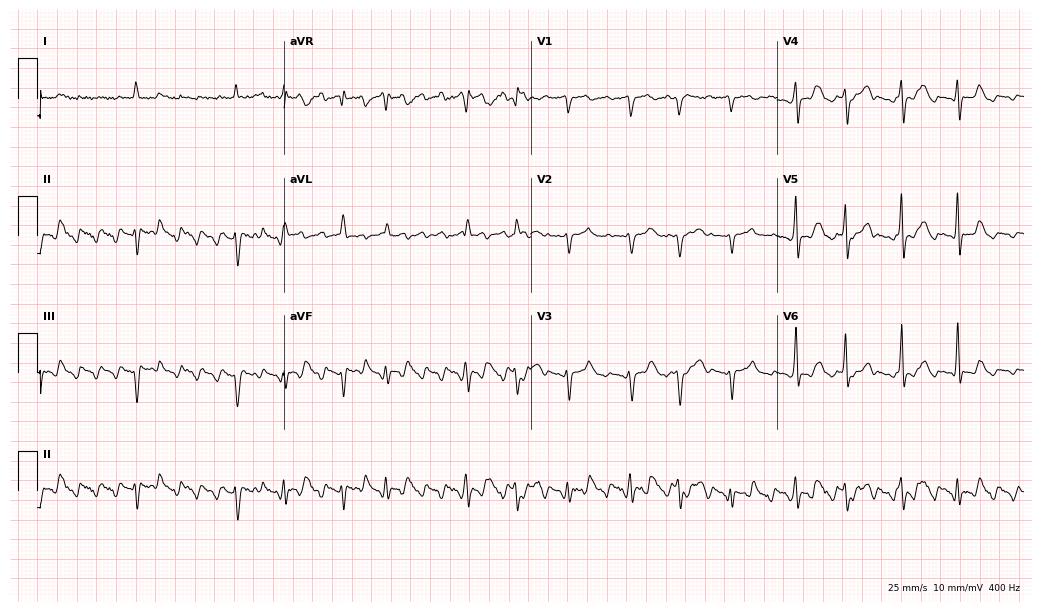
12-lead ECG from a 76-year-old man (10.1-second recording at 400 Hz). No first-degree AV block, right bundle branch block (RBBB), left bundle branch block (LBBB), sinus bradycardia, atrial fibrillation (AF) or sinus tachycardia recorded for this tracing.